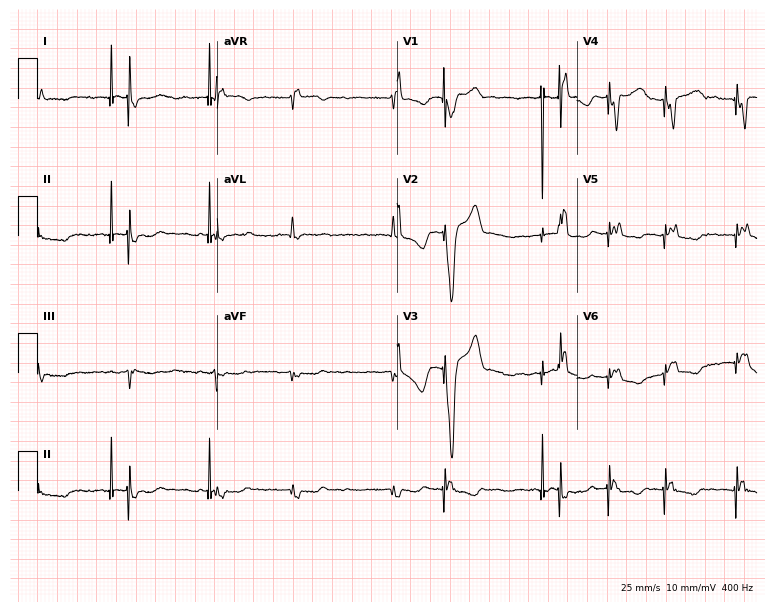
12-lead ECG (7.3-second recording at 400 Hz) from a female patient, 82 years old. Screened for six findings — first-degree AV block, right bundle branch block, left bundle branch block, sinus bradycardia, atrial fibrillation, sinus tachycardia — none is recorded. Other findings, if any, are not listed.